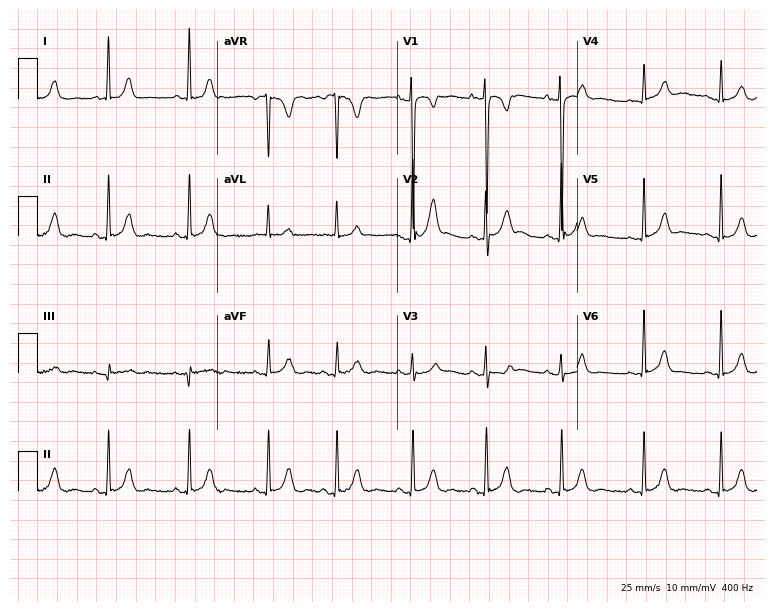
Standard 12-lead ECG recorded from a 22-year-old female patient (7.3-second recording at 400 Hz). Read as a normal ECG.